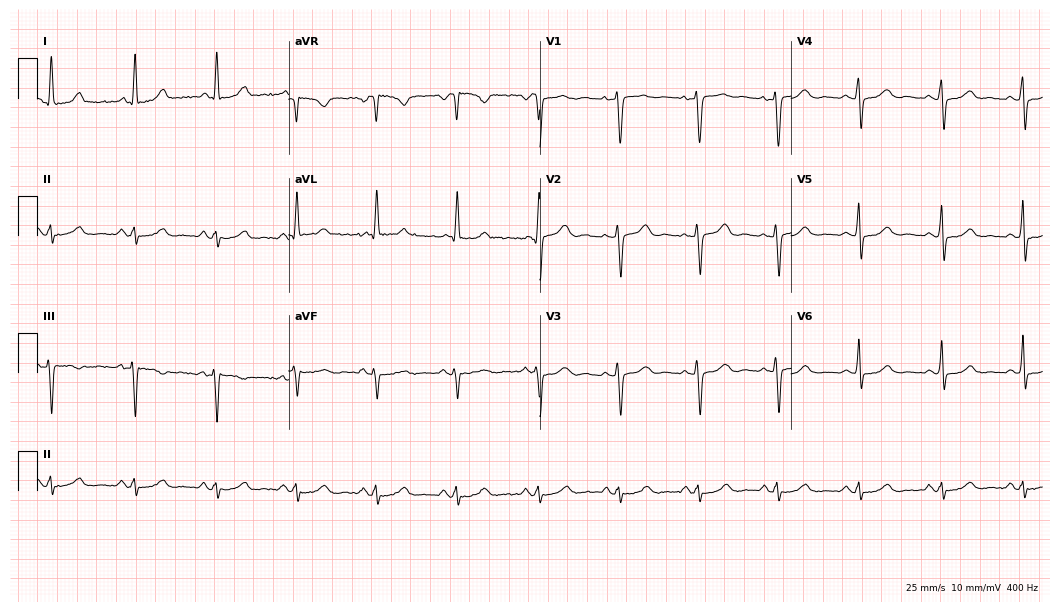
12-lead ECG (10.2-second recording at 400 Hz) from a 43-year-old woman. Labelled as a normal ECG.